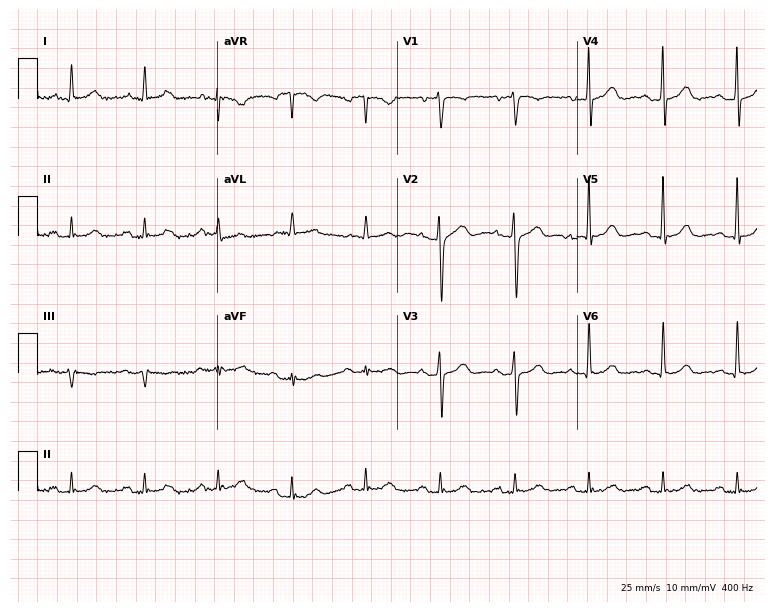
12-lead ECG (7.3-second recording at 400 Hz) from a 76-year-old male patient. Labelled as a normal ECG.